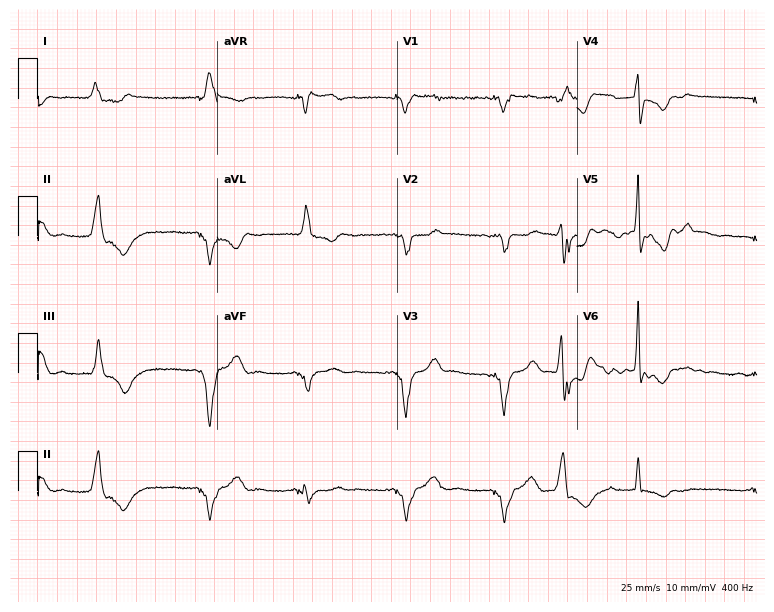
Resting 12-lead electrocardiogram (7.3-second recording at 400 Hz). Patient: a female, 66 years old. None of these six findings is recorded: first-degree AV block, right bundle branch block, left bundle branch block, sinus bradycardia, atrial fibrillation, sinus tachycardia.